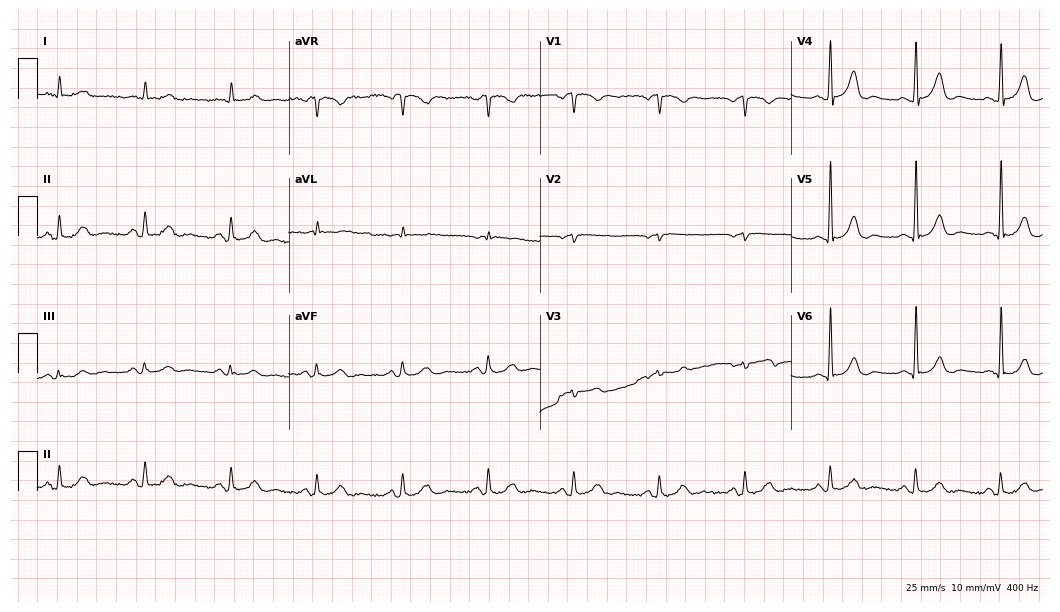
Resting 12-lead electrocardiogram. Patient: a male, 79 years old. None of these six findings is recorded: first-degree AV block, right bundle branch block, left bundle branch block, sinus bradycardia, atrial fibrillation, sinus tachycardia.